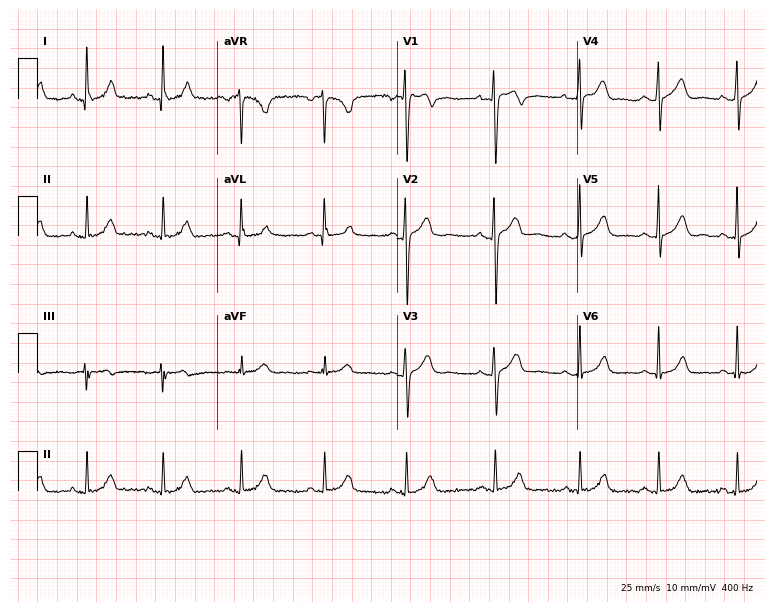
Electrocardiogram, a woman, 18 years old. Overall reading on record: normal ECG.